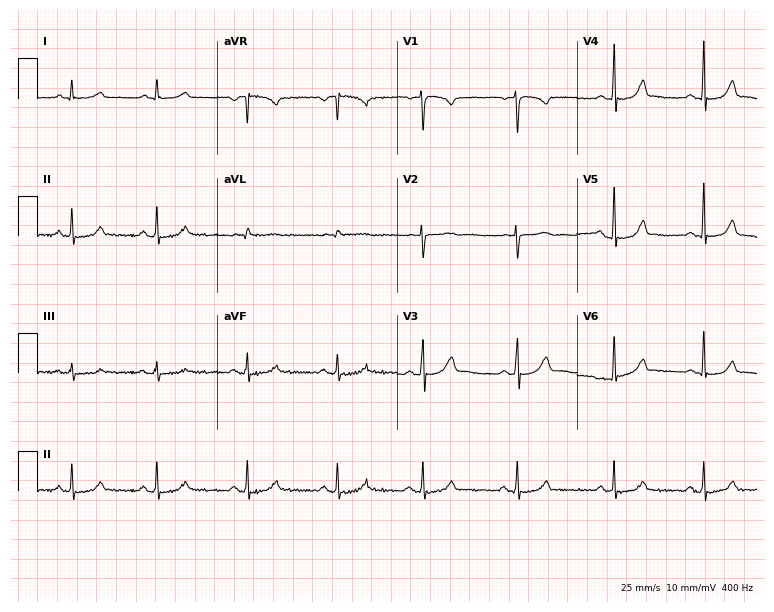
Standard 12-lead ECG recorded from a woman, 29 years old (7.3-second recording at 400 Hz). None of these six findings is recorded: first-degree AV block, right bundle branch block, left bundle branch block, sinus bradycardia, atrial fibrillation, sinus tachycardia. Other findings, if any, are not listed.